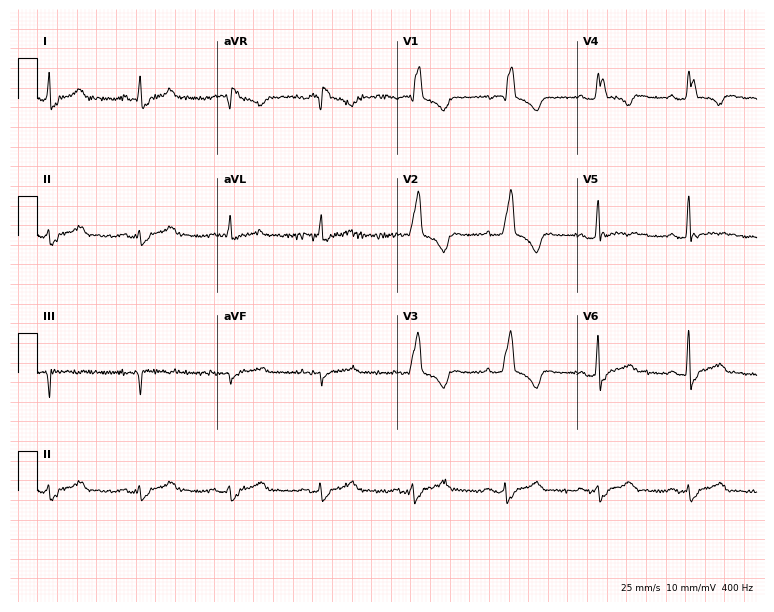
Electrocardiogram, a male patient, 54 years old. Interpretation includes right bundle branch block (RBBB).